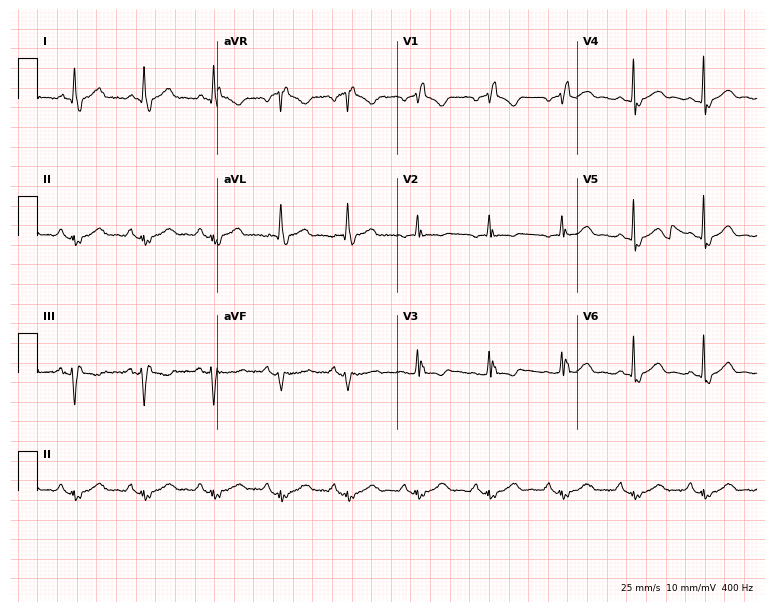
12-lead ECG (7.3-second recording at 400 Hz) from a 74-year-old female. Findings include right bundle branch block.